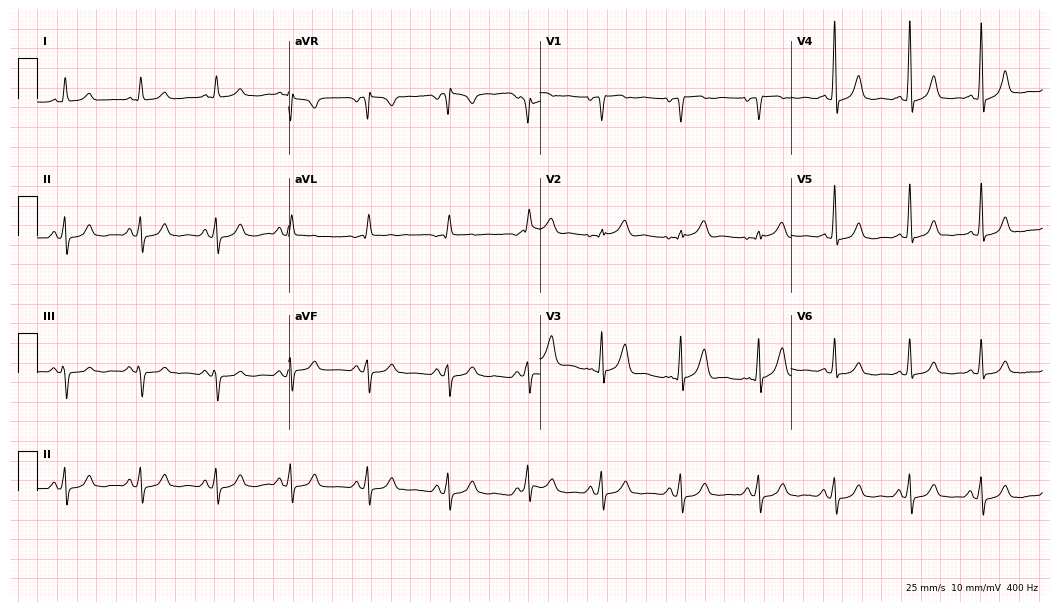
12-lead ECG (10.2-second recording at 400 Hz) from a man, 63 years old. Screened for six findings — first-degree AV block, right bundle branch block, left bundle branch block, sinus bradycardia, atrial fibrillation, sinus tachycardia — none is recorded.